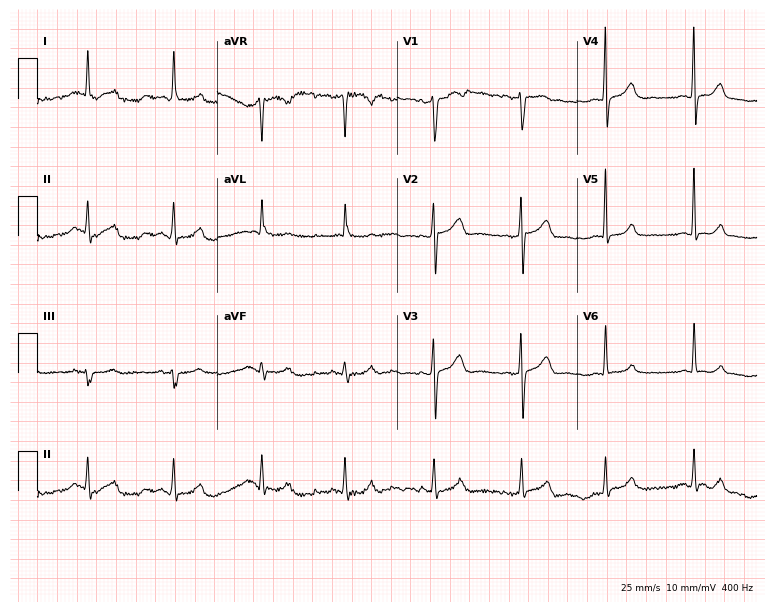
Resting 12-lead electrocardiogram. Patient: a 49-year-old female. Read as a normal ECG.